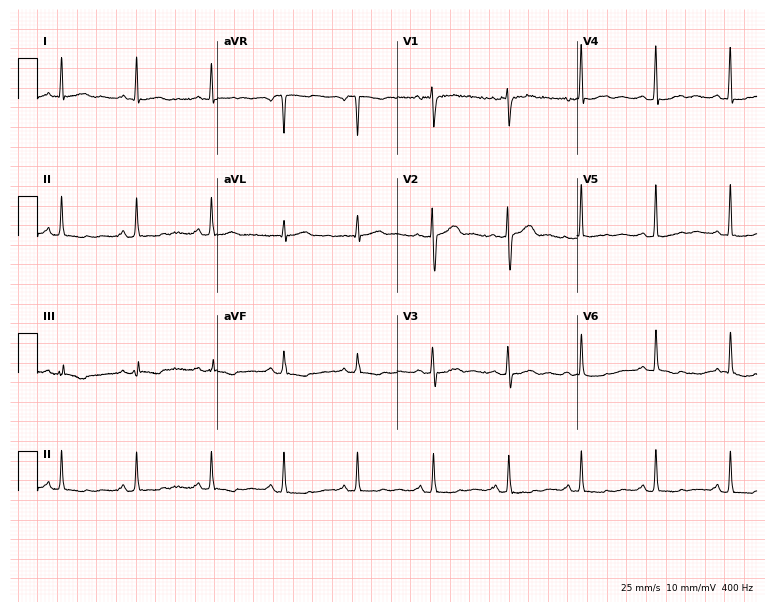
Electrocardiogram (7.3-second recording at 400 Hz), a female, 43 years old. Of the six screened findings (first-degree AV block, right bundle branch block, left bundle branch block, sinus bradycardia, atrial fibrillation, sinus tachycardia), none is recorded. Other findings, if any, are not listed.